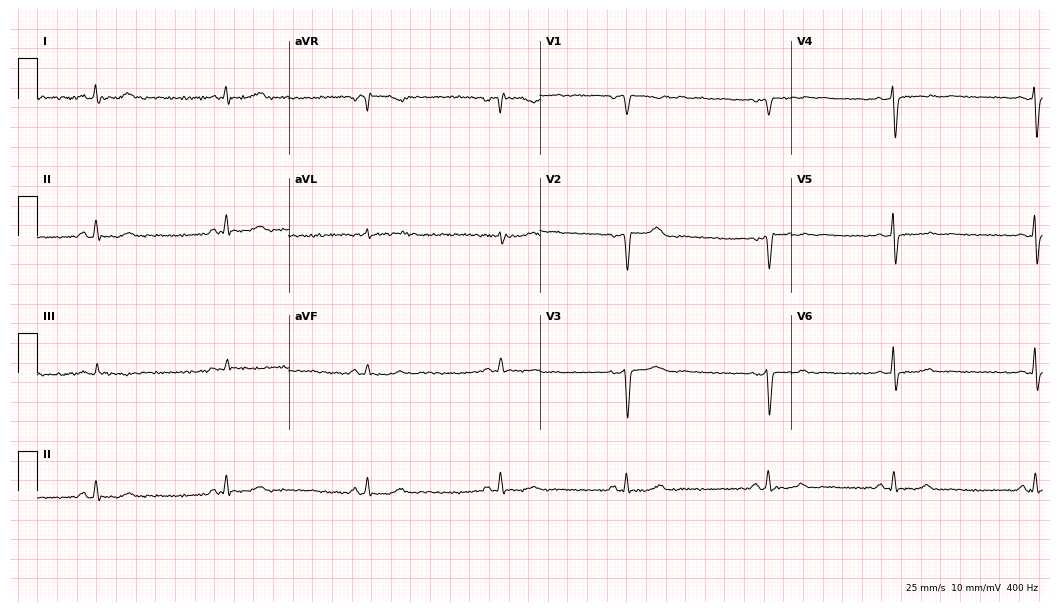
Standard 12-lead ECG recorded from a 62-year-old woman. The tracing shows sinus bradycardia (a sinus rate of 50 beats per minute or less).